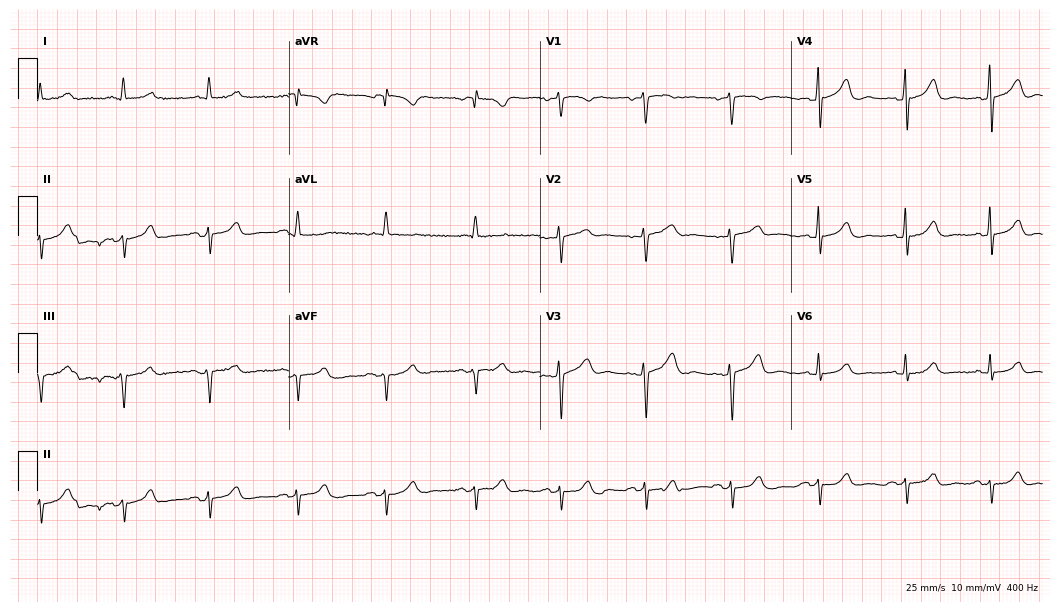
Electrocardiogram, a woman, 84 years old. Of the six screened findings (first-degree AV block, right bundle branch block, left bundle branch block, sinus bradycardia, atrial fibrillation, sinus tachycardia), none is recorded.